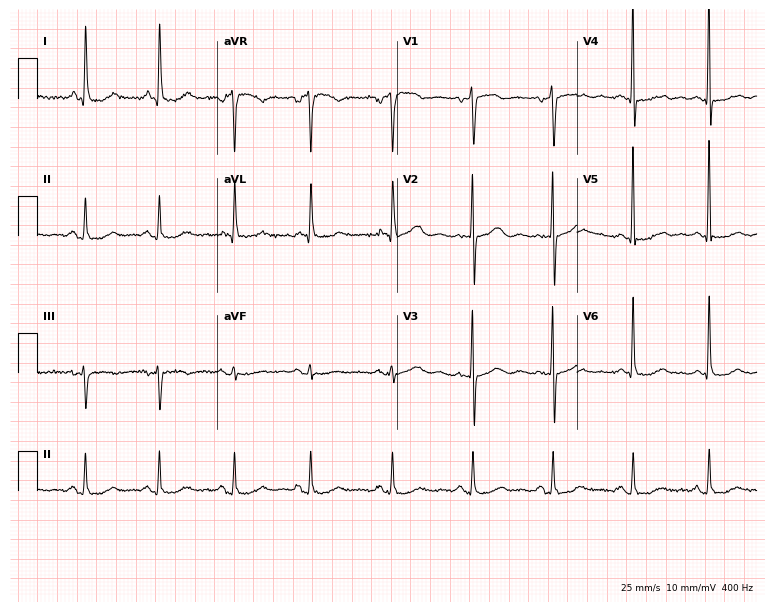
Resting 12-lead electrocardiogram (7.3-second recording at 400 Hz). Patient: a 78-year-old woman. None of these six findings is recorded: first-degree AV block, right bundle branch block, left bundle branch block, sinus bradycardia, atrial fibrillation, sinus tachycardia.